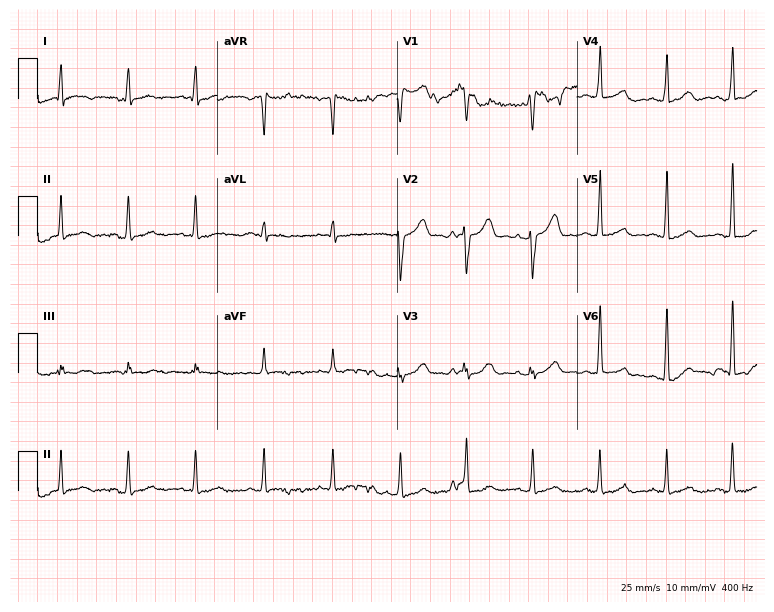
12-lead ECG from a female patient, 41 years old. Screened for six findings — first-degree AV block, right bundle branch block, left bundle branch block, sinus bradycardia, atrial fibrillation, sinus tachycardia — none is recorded. Other findings, if any, are not listed.